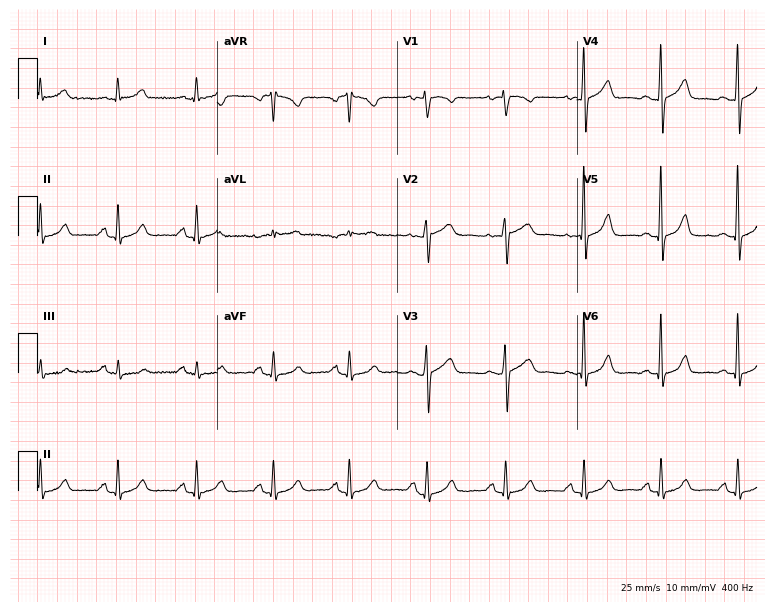
12-lead ECG from a woman, 47 years old. Labelled as a normal ECG.